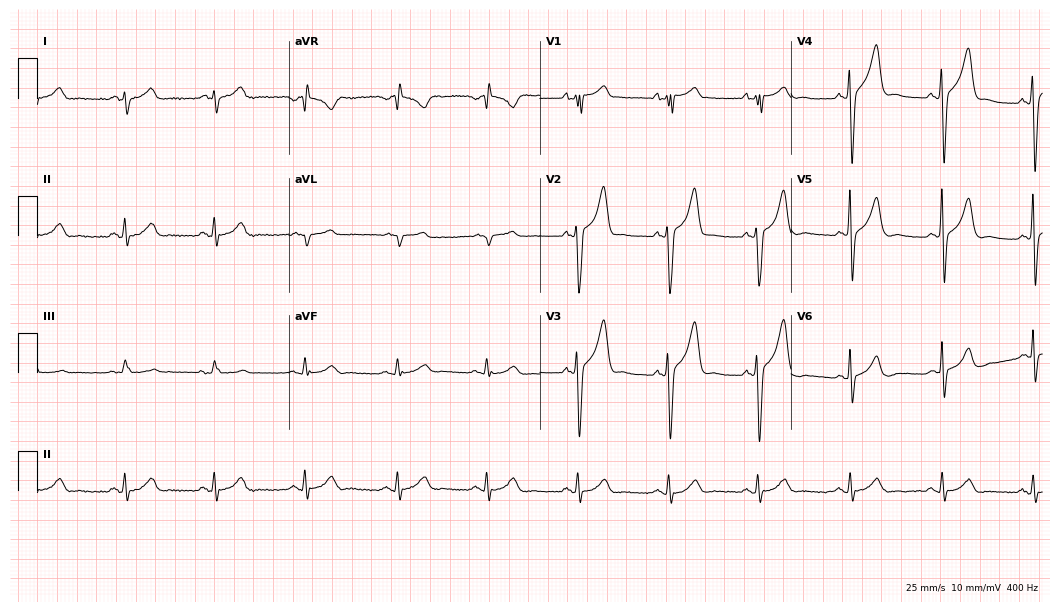
12-lead ECG from a 60-year-old man. Screened for six findings — first-degree AV block, right bundle branch block, left bundle branch block, sinus bradycardia, atrial fibrillation, sinus tachycardia — none is recorded.